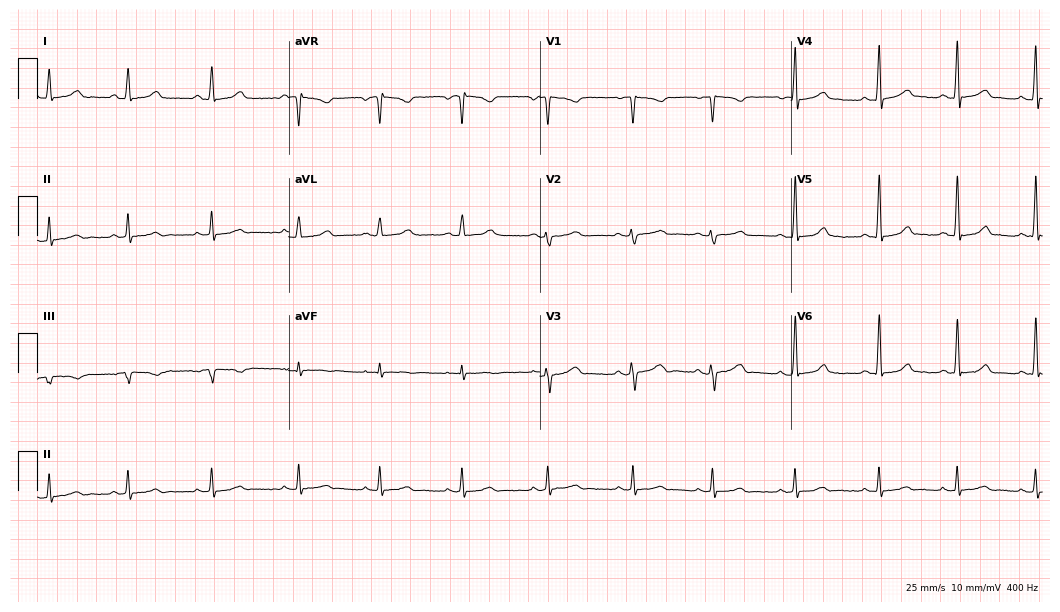
ECG — a woman, 39 years old. Labelled as a normal ECG.